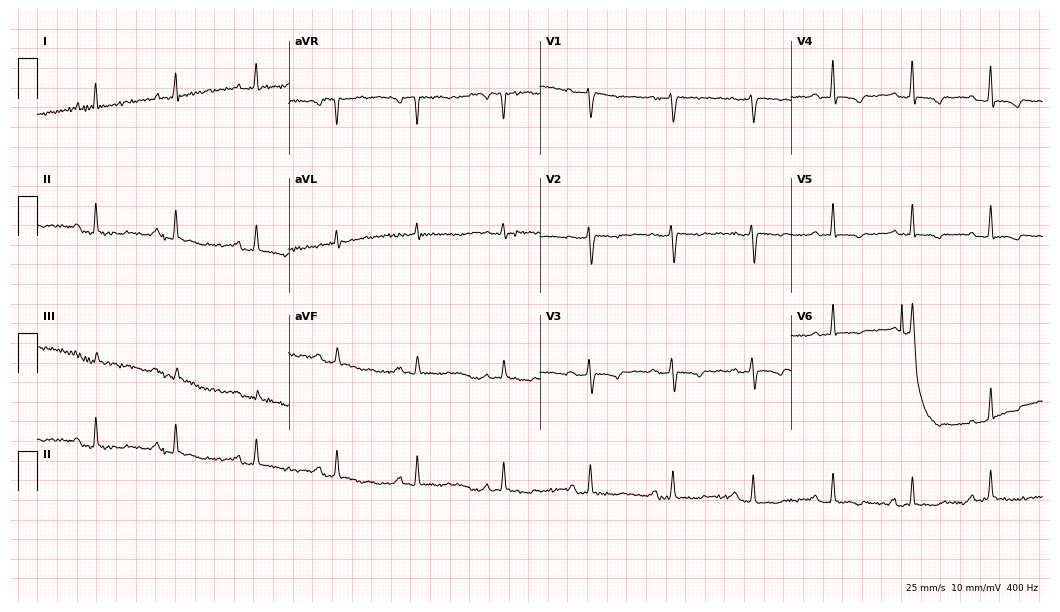
Resting 12-lead electrocardiogram. Patient: a female, 58 years old. The tracing shows first-degree AV block.